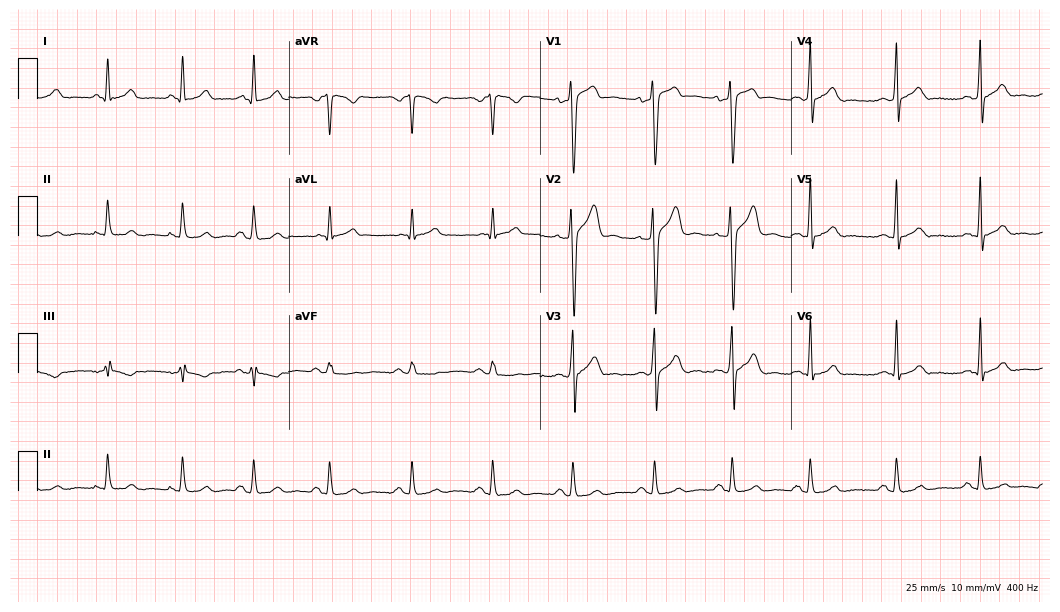
12-lead ECG from a male, 25 years old. No first-degree AV block, right bundle branch block, left bundle branch block, sinus bradycardia, atrial fibrillation or sinus tachycardia recorded for this tracing.